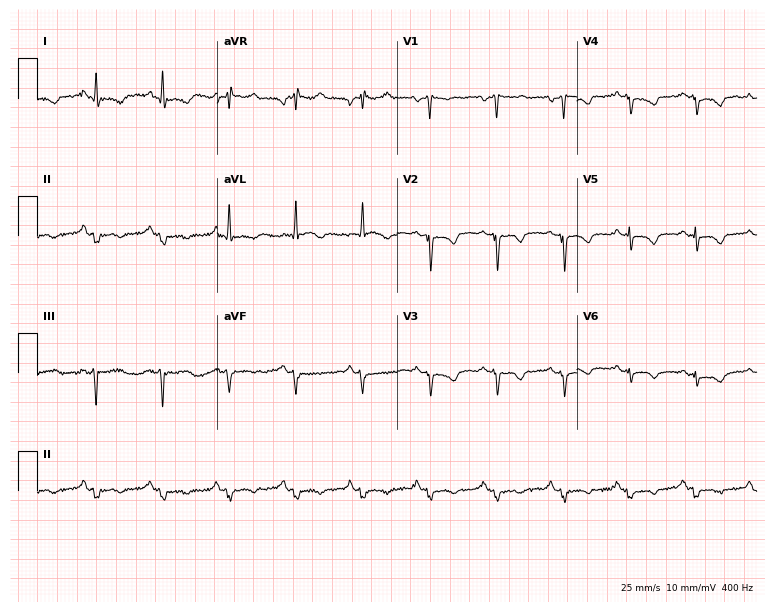
Electrocardiogram, a female patient, 55 years old. Of the six screened findings (first-degree AV block, right bundle branch block, left bundle branch block, sinus bradycardia, atrial fibrillation, sinus tachycardia), none is recorded. Other findings, if any, are not listed.